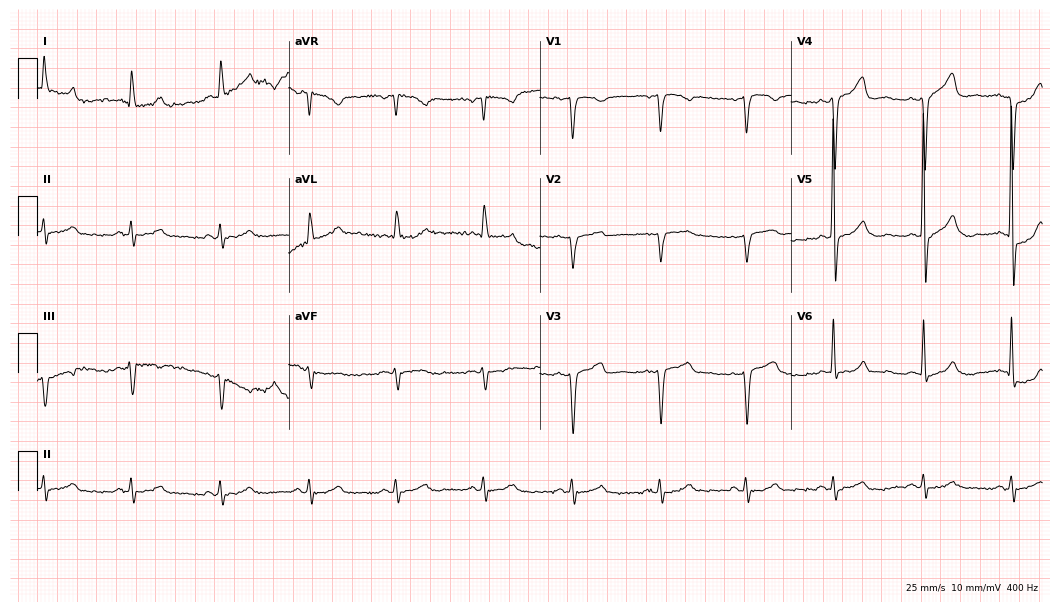
Standard 12-lead ECG recorded from a 34-year-old man (10.2-second recording at 400 Hz). None of these six findings is recorded: first-degree AV block, right bundle branch block, left bundle branch block, sinus bradycardia, atrial fibrillation, sinus tachycardia. Findings outside these six are not listed.